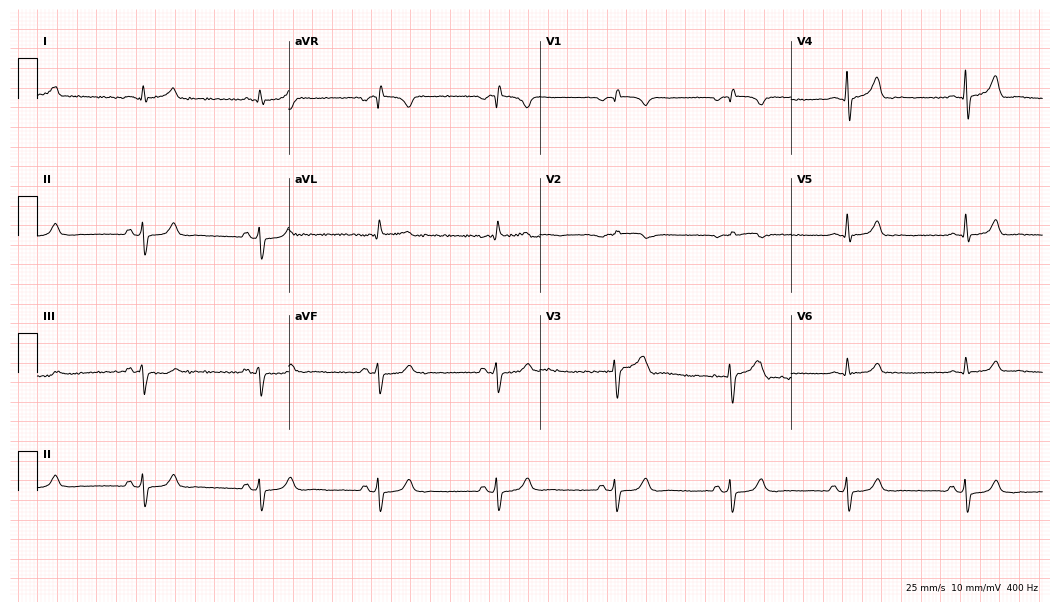
Electrocardiogram, a 48-year-old male patient. Interpretation includes sinus bradycardia (a sinus rate of 50 beats per minute or less).